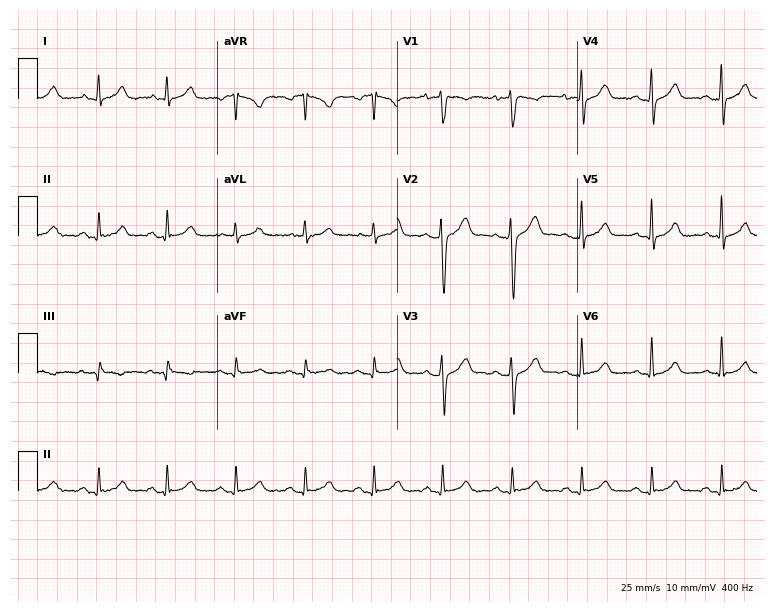
12-lead ECG from a 37-year-old male. Labelled as a normal ECG.